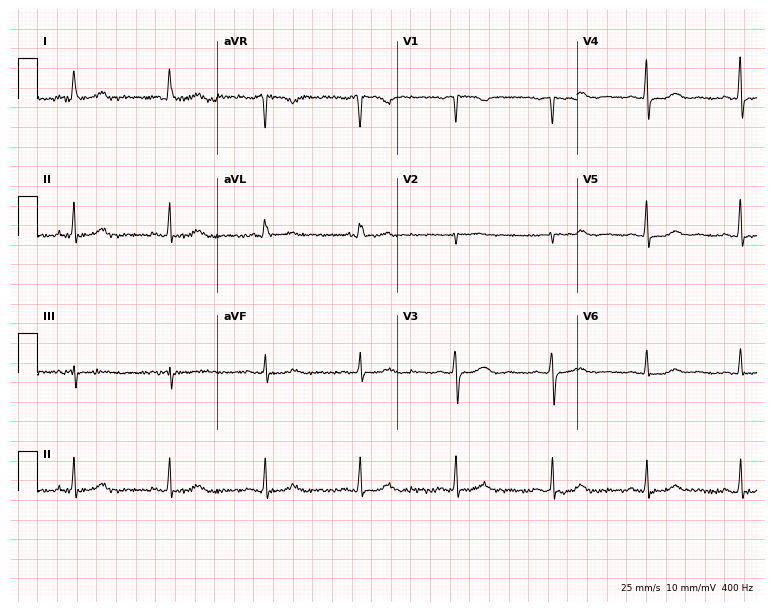
Electrocardiogram (7.3-second recording at 400 Hz), a female patient, 71 years old. Overall reading on record: normal ECG.